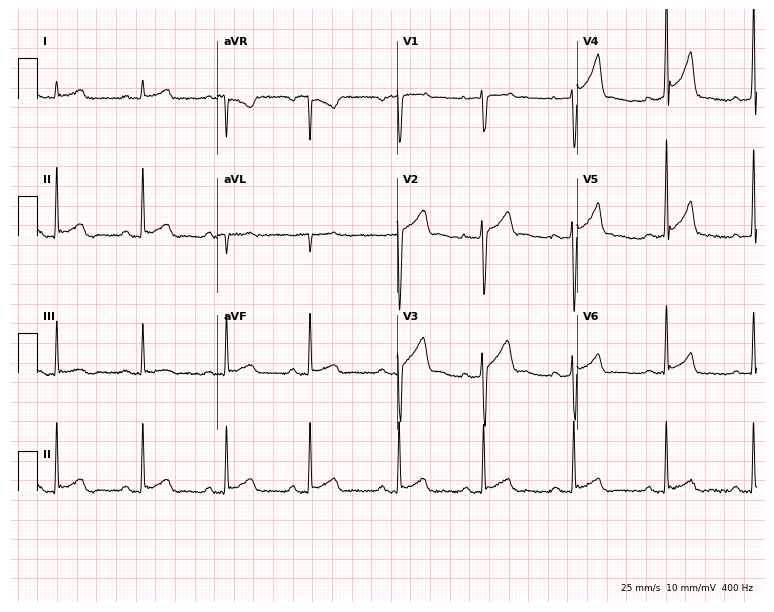
Electrocardiogram, a 33-year-old man. Of the six screened findings (first-degree AV block, right bundle branch block, left bundle branch block, sinus bradycardia, atrial fibrillation, sinus tachycardia), none is recorded. Other findings, if any, are not listed.